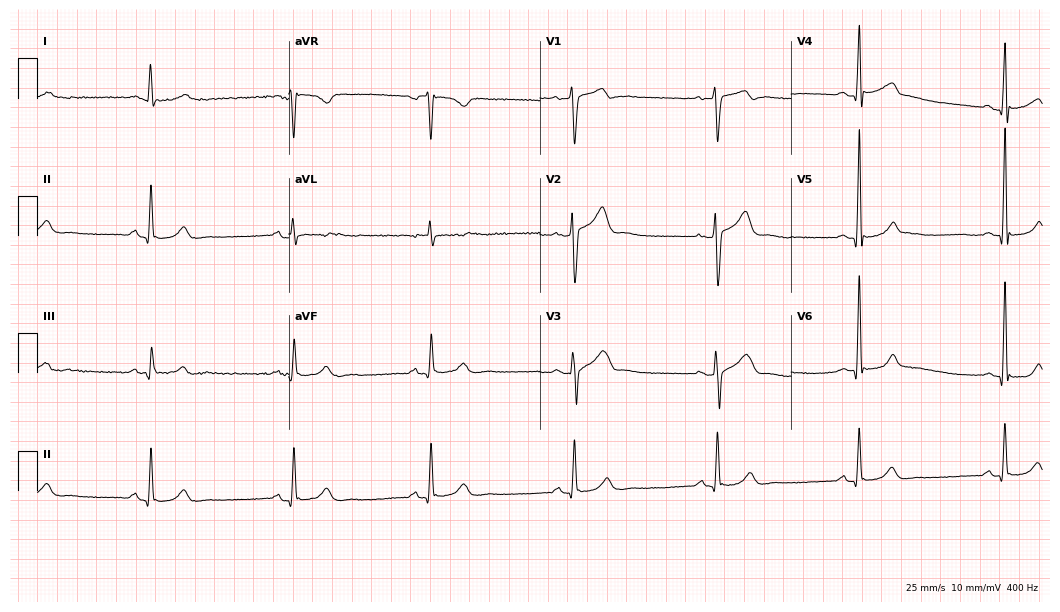
12-lead ECG from a male, 57 years old (10.2-second recording at 400 Hz). No first-degree AV block, right bundle branch block, left bundle branch block, sinus bradycardia, atrial fibrillation or sinus tachycardia recorded for this tracing. Findings outside these six are not listed.